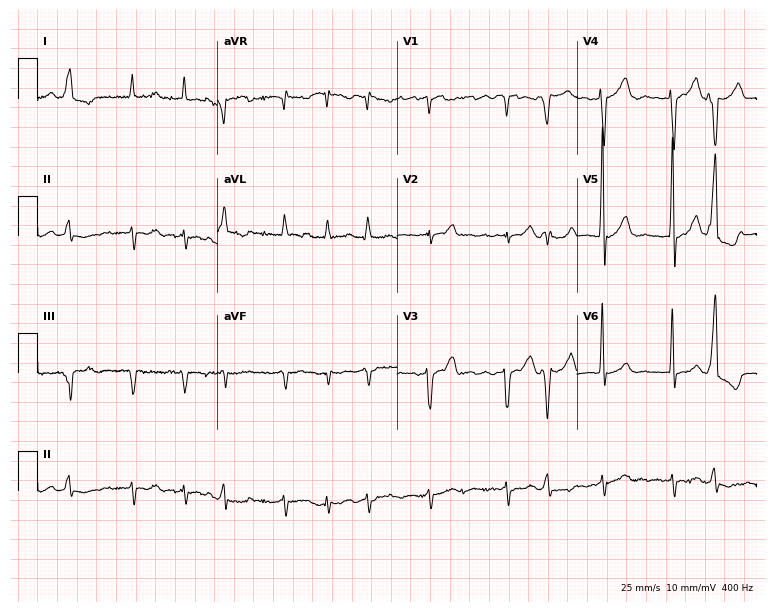
Electrocardiogram (7.3-second recording at 400 Hz), an 83-year-old male. Interpretation includes atrial fibrillation (AF).